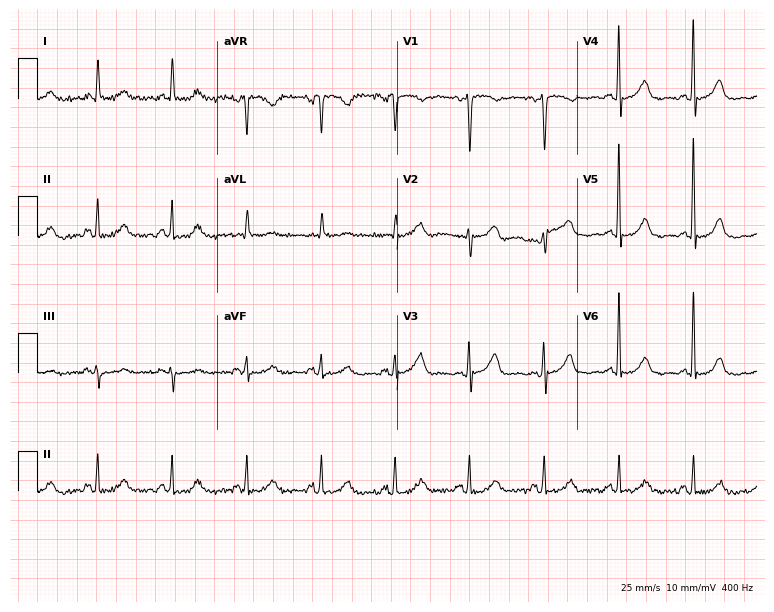
Electrocardiogram (7.3-second recording at 400 Hz), a woman, 61 years old. Of the six screened findings (first-degree AV block, right bundle branch block (RBBB), left bundle branch block (LBBB), sinus bradycardia, atrial fibrillation (AF), sinus tachycardia), none is recorded. Other findings, if any, are not listed.